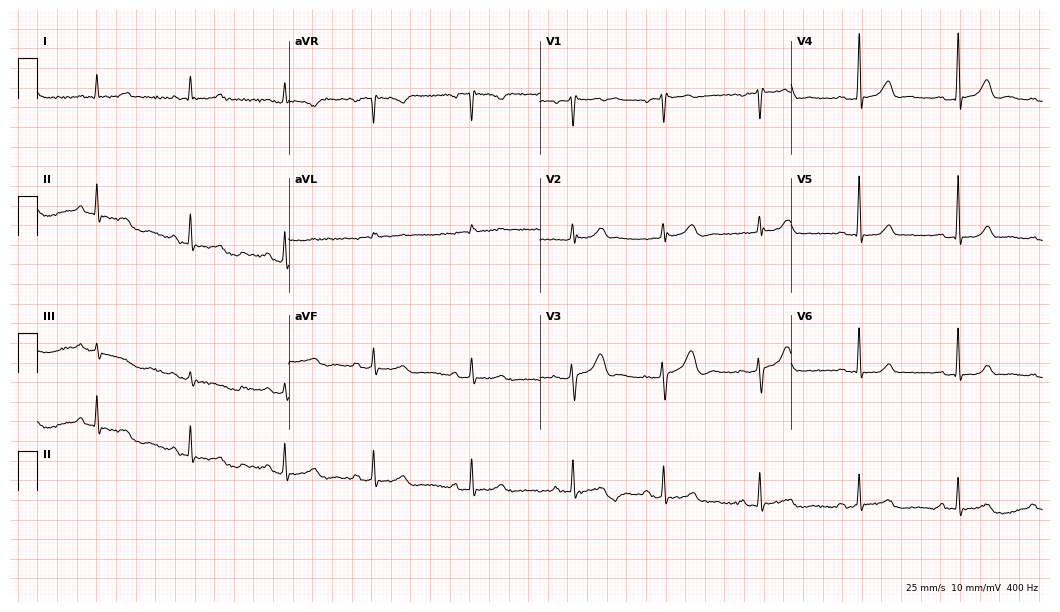
ECG — a 64-year-old woman. Labelled as a normal ECG.